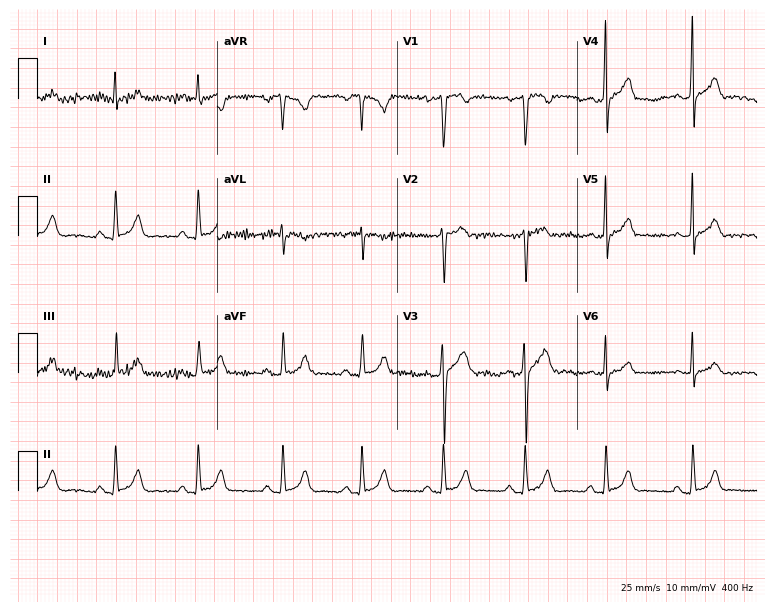
Electrocardiogram (7.3-second recording at 400 Hz), a 32-year-old male patient. Overall reading on record: normal ECG.